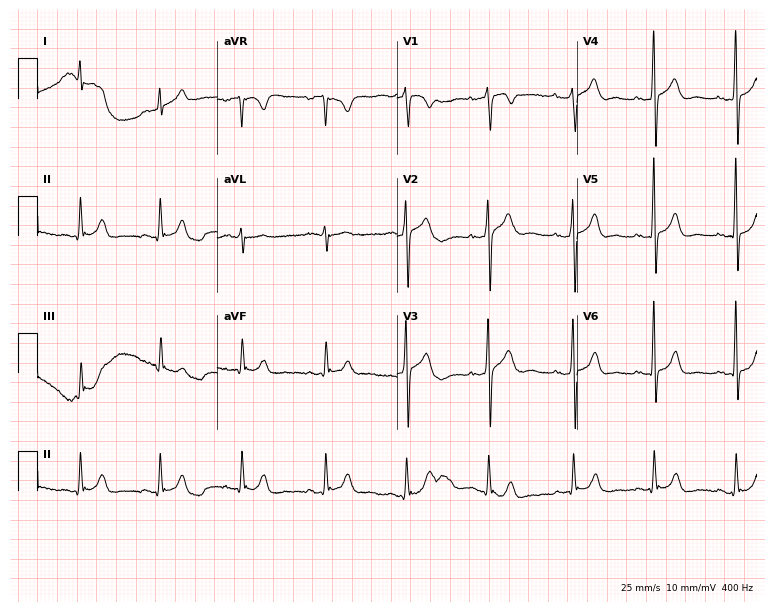
Standard 12-lead ECG recorded from a female, 47 years old. None of these six findings is recorded: first-degree AV block, right bundle branch block, left bundle branch block, sinus bradycardia, atrial fibrillation, sinus tachycardia. Only these six findings were labelled.